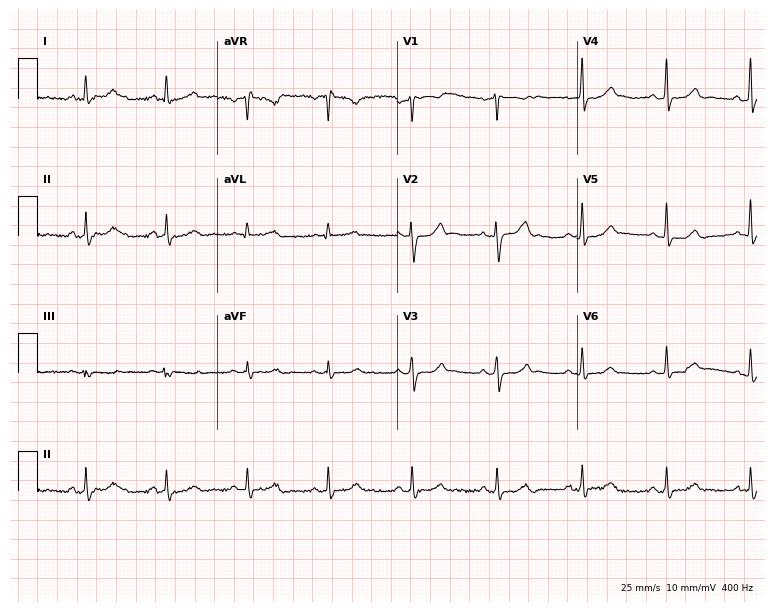
Resting 12-lead electrocardiogram. Patient: a female, 43 years old. None of these six findings is recorded: first-degree AV block, right bundle branch block, left bundle branch block, sinus bradycardia, atrial fibrillation, sinus tachycardia.